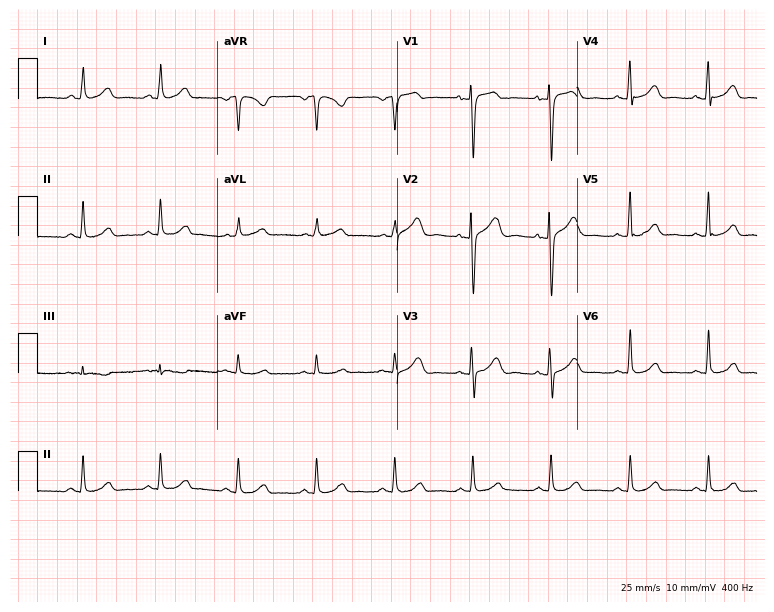
Resting 12-lead electrocardiogram. Patient: a female, 50 years old. Read as a normal ECG.